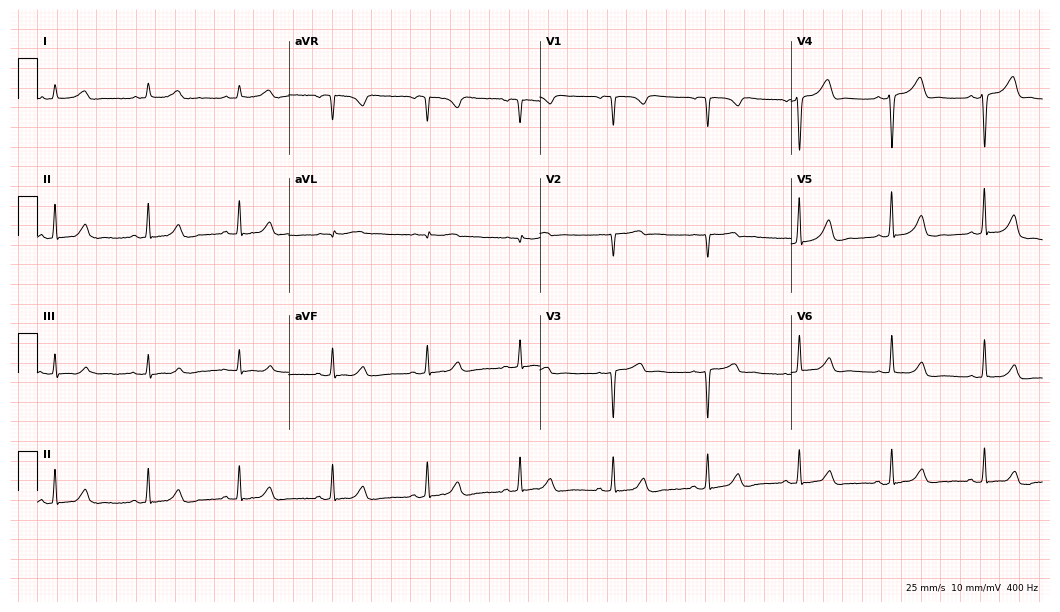
ECG — a 44-year-old woman. Screened for six findings — first-degree AV block, right bundle branch block (RBBB), left bundle branch block (LBBB), sinus bradycardia, atrial fibrillation (AF), sinus tachycardia — none is recorded.